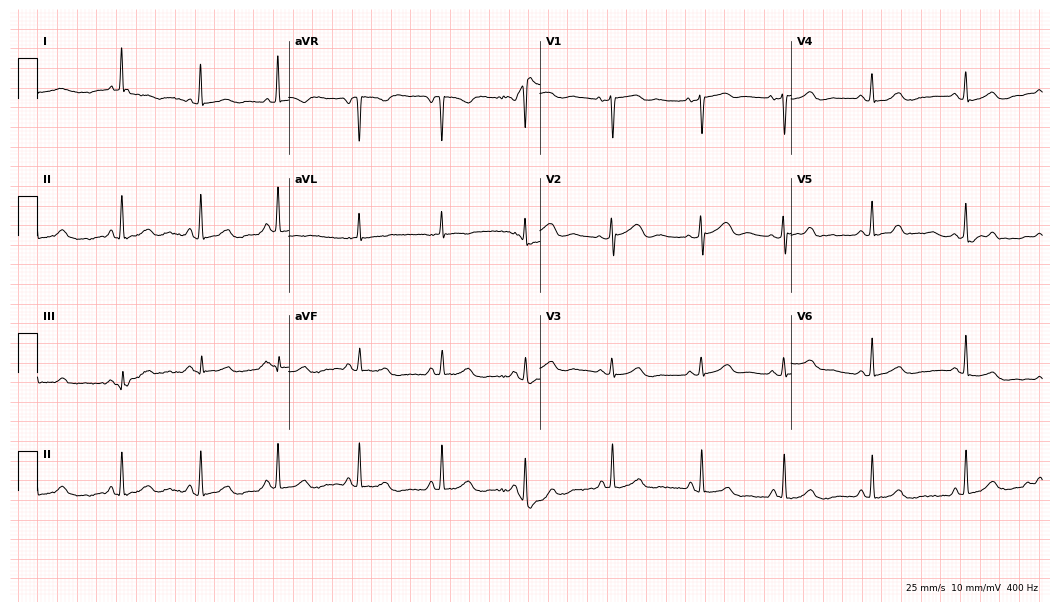
ECG — a 54-year-old female patient. Labelled as a normal ECG.